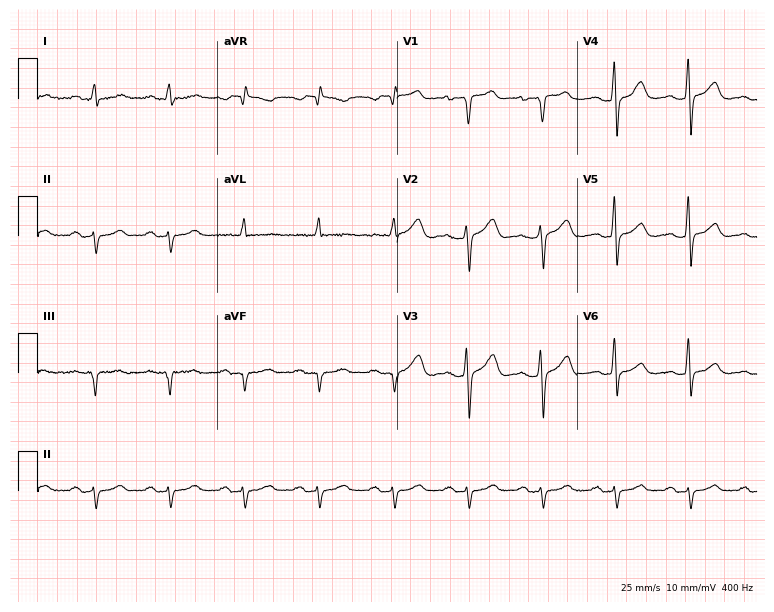
Electrocardiogram, a male, 69 years old. Of the six screened findings (first-degree AV block, right bundle branch block (RBBB), left bundle branch block (LBBB), sinus bradycardia, atrial fibrillation (AF), sinus tachycardia), none is recorded. Findings outside these six are not listed.